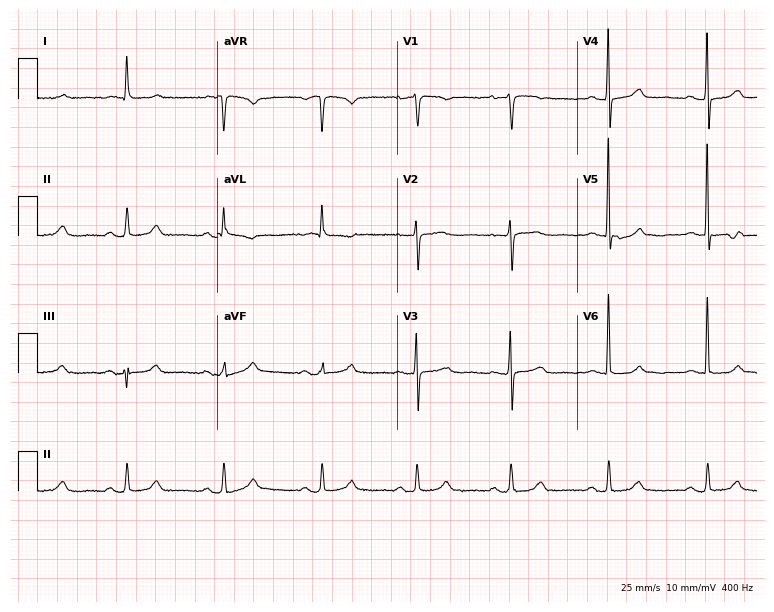
ECG (7.3-second recording at 400 Hz) — a woman, 77 years old. Screened for six findings — first-degree AV block, right bundle branch block (RBBB), left bundle branch block (LBBB), sinus bradycardia, atrial fibrillation (AF), sinus tachycardia — none is recorded.